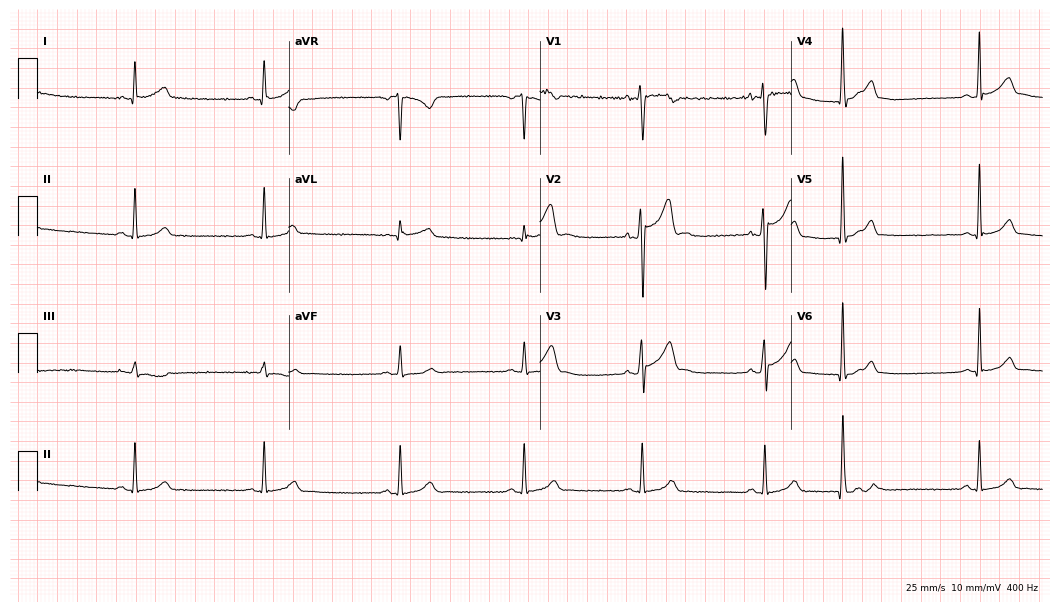
Electrocardiogram (10.2-second recording at 400 Hz), a 20-year-old female patient. Of the six screened findings (first-degree AV block, right bundle branch block (RBBB), left bundle branch block (LBBB), sinus bradycardia, atrial fibrillation (AF), sinus tachycardia), none is recorded.